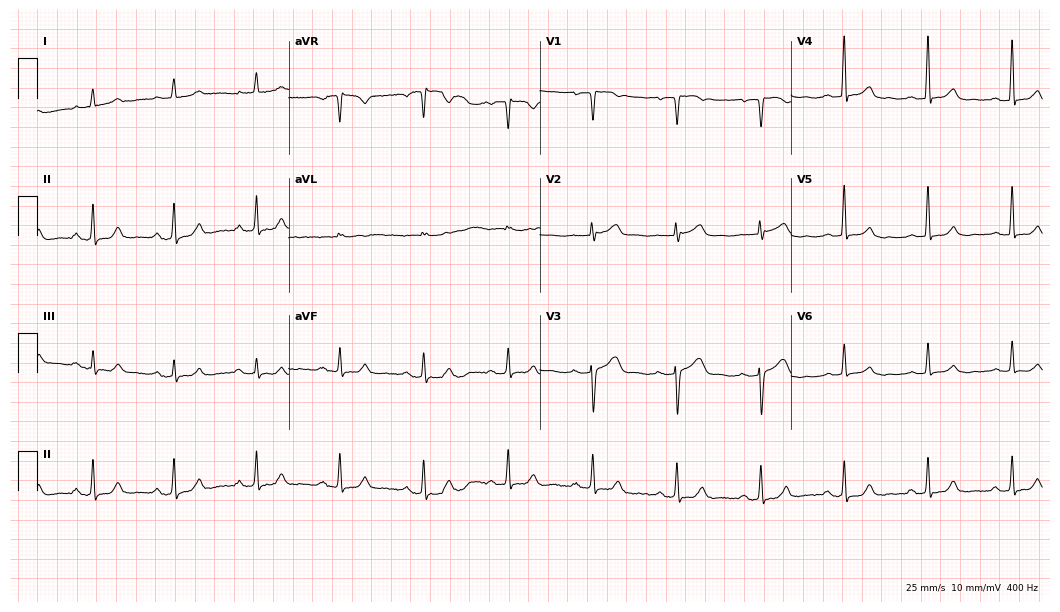
12-lead ECG from a 54-year-old woman. Labelled as a normal ECG.